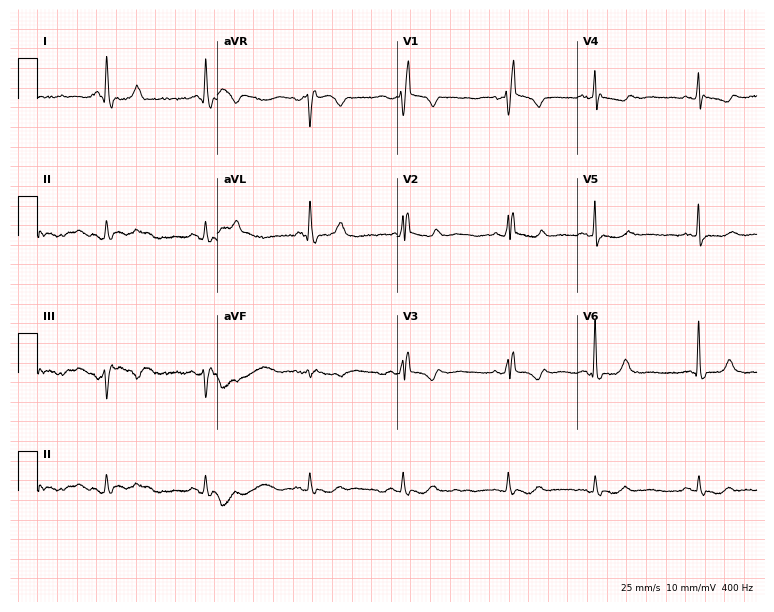
Electrocardiogram, a female, 77 years old. Interpretation includes right bundle branch block.